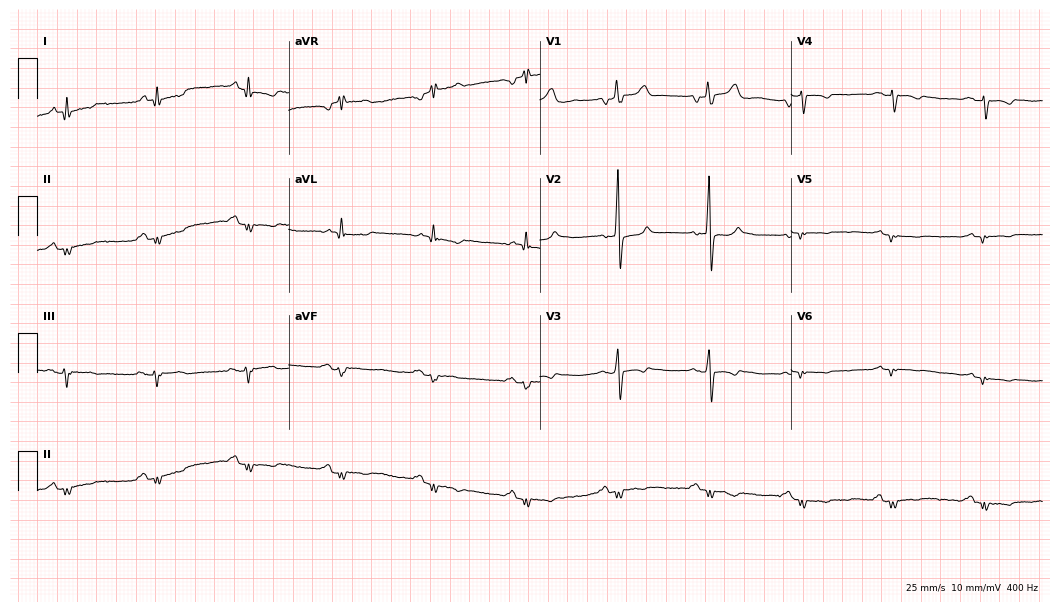
ECG — a male patient, 70 years old. Screened for six findings — first-degree AV block, right bundle branch block, left bundle branch block, sinus bradycardia, atrial fibrillation, sinus tachycardia — none is recorded. Findings outside these six are not listed.